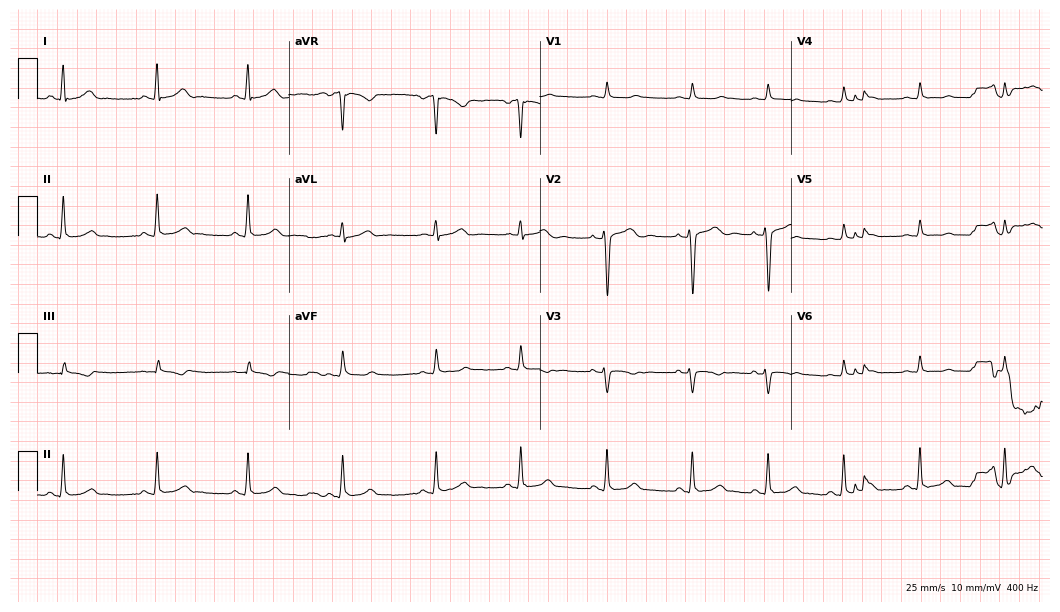
12-lead ECG from a 26-year-old male patient. Screened for six findings — first-degree AV block, right bundle branch block, left bundle branch block, sinus bradycardia, atrial fibrillation, sinus tachycardia — none is recorded.